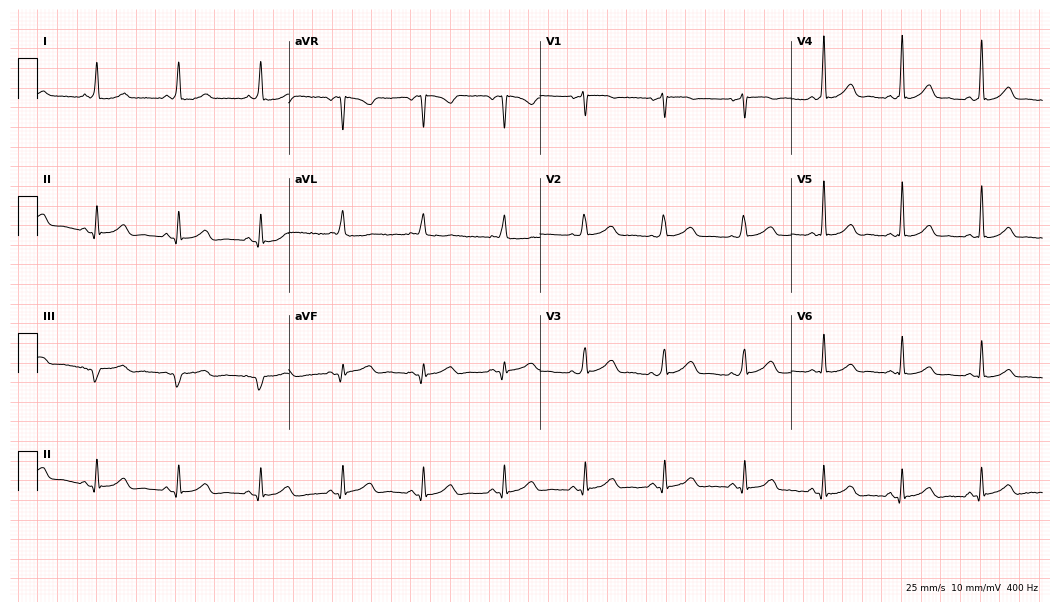
12-lead ECG from a 39-year-old woman. No first-degree AV block, right bundle branch block (RBBB), left bundle branch block (LBBB), sinus bradycardia, atrial fibrillation (AF) or sinus tachycardia recorded for this tracing. Findings outside these six are not listed.